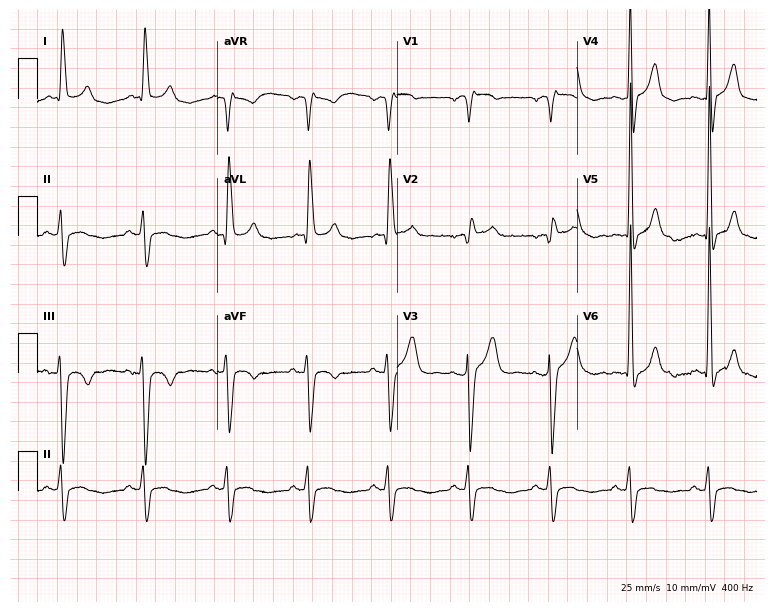
12-lead ECG from a 79-year-old man (7.3-second recording at 400 Hz). Shows right bundle branch block.